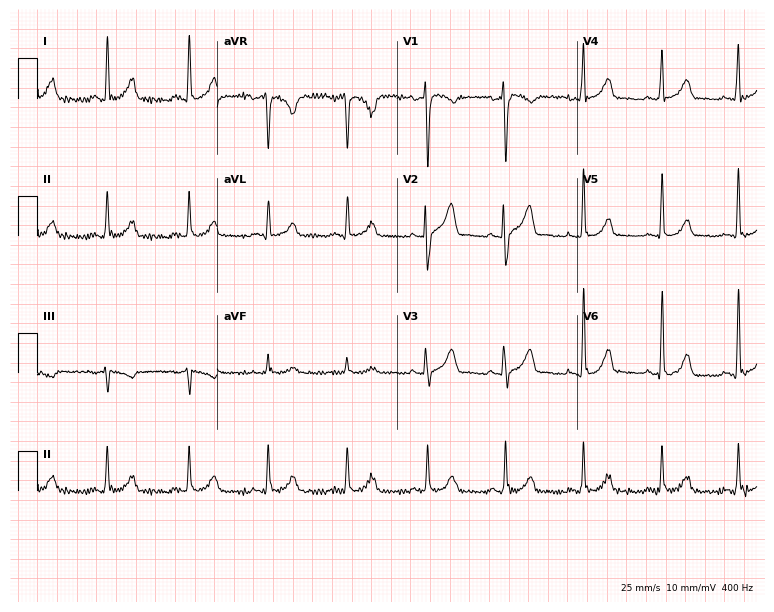
12-lead ECG from a 45-year-old male patient (7.3-second recording at 400 Hz). Recorded interpretation: within normal limits.